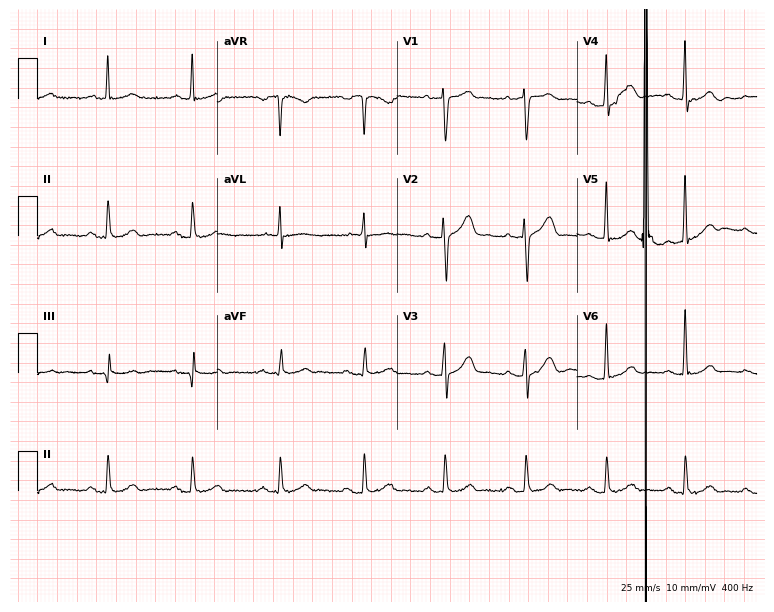
12-lead ECG from a male patient, 43 years old. Labelled as a normal ECG.